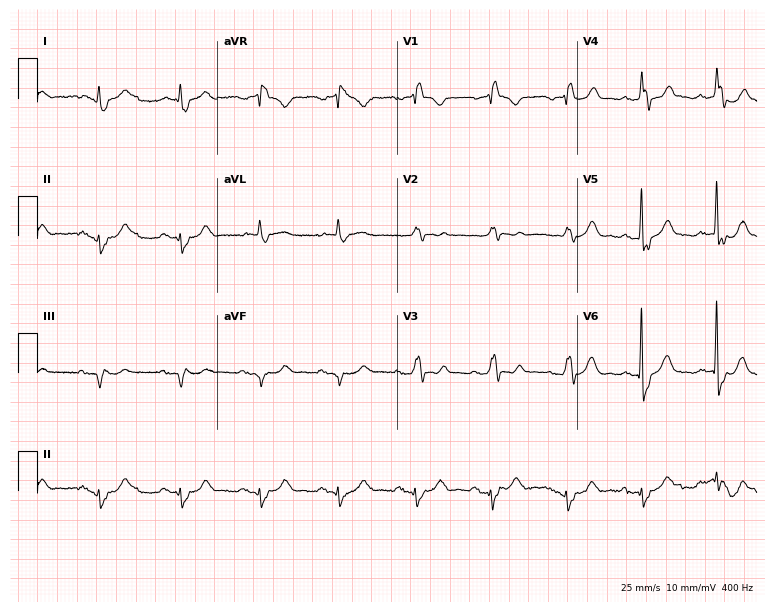
Standard 12-lead ECG recorded from a male patient, 70 years old (7.3-second recording at 400 Hz). The tracing shows right bundle branch block.